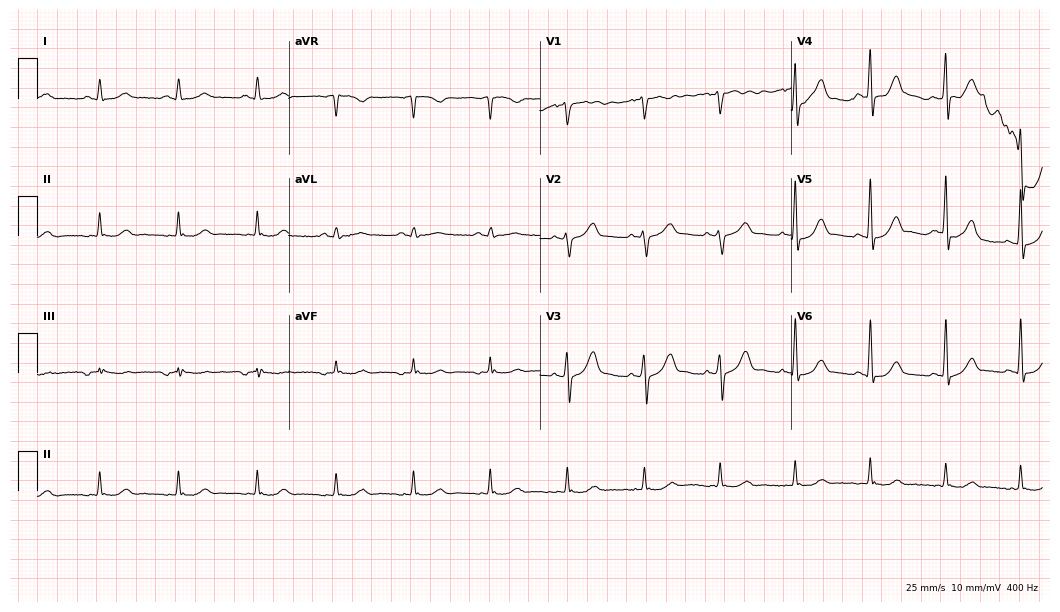
12-lead ECG (10.2-second recording at 400 Hz) from a 68-year-old male. Labelled as a normal ECG.